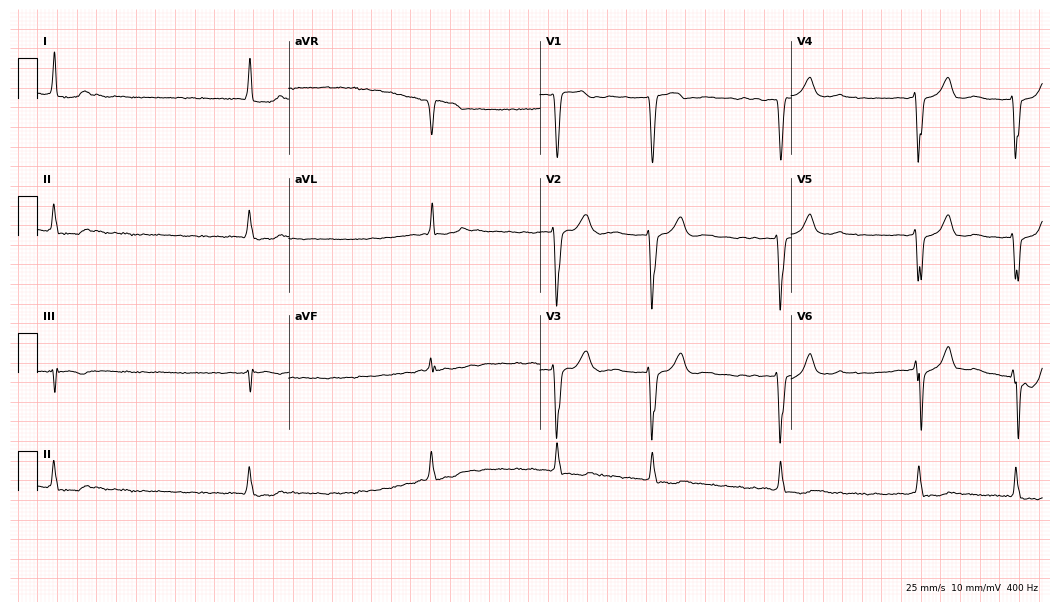
Standard 12-lead ECG recorded from an 81-year-old male. None of these six findings is recorded: first-degree AV block, right bundle branch block, left bundle branch block, sinus bradycardia, atrial fibrillation, sinus tachycardia.